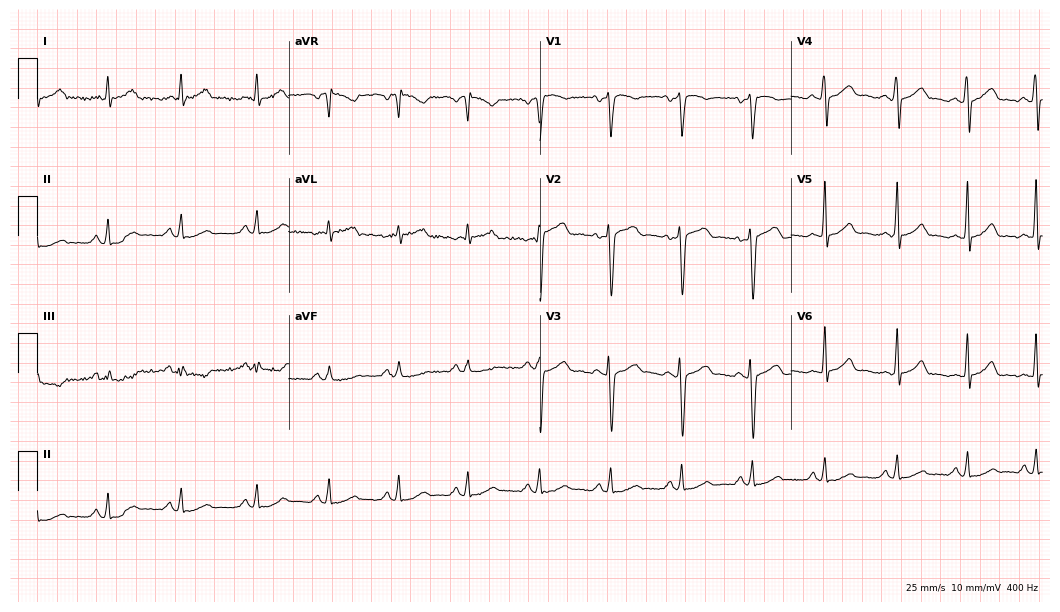
Standard 12-lead ECG recorded from a male patient, 46 years old. None of these six findings is recorded: first-degree AV block, right bundle branch block, left bundle branch block, sinus bradycardia, atrial fibrillation, sinus tachycardia.